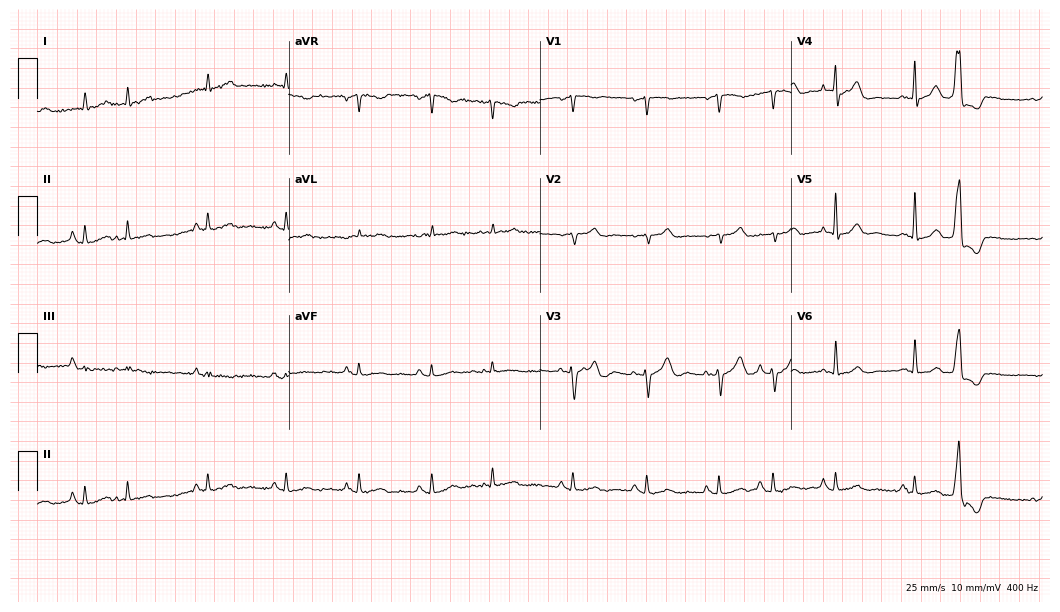
Electrocardiogram (10.2-second recording at 400 Hz), a 73-year-old female. Of the six screened findings (first-degree AV block, right bundle branch block, left bundle branch block, sinus bradycardia, atrial fibrillation, sinus tachycardia), none is recorded.